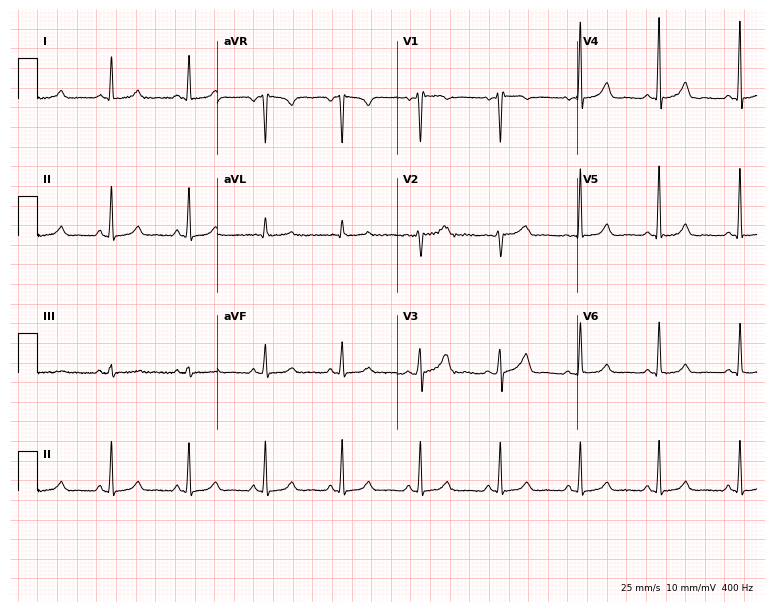
Electrocardiogram, a 38-year-old female patient. Overall reading on record: normal ECG.